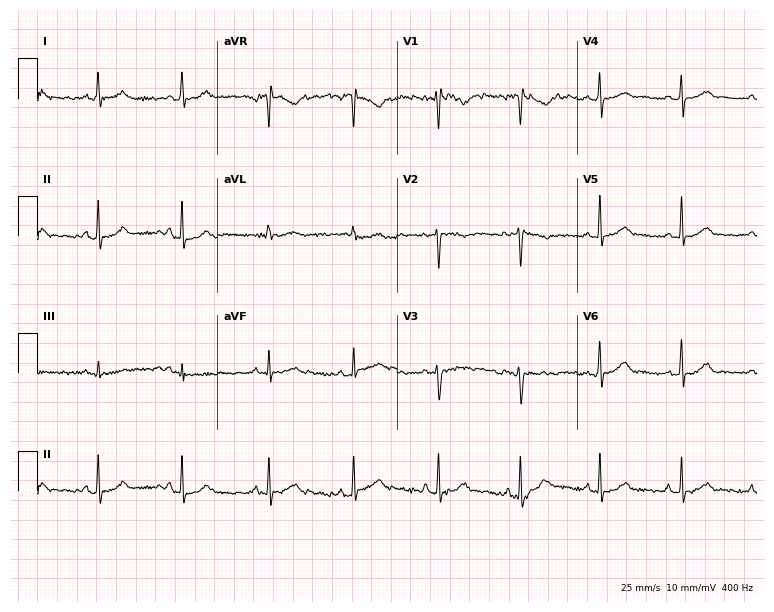
Resting 12-lead electrocardiogram (7.3-second recording at 400 Hz). Patient: a woman, 22 years old. None of these six findings is recorded: first-degree AV block, right bundle branch block, left bundle branch block, sinus bradycardia, atrial fibrillation, sinus tachycardia.